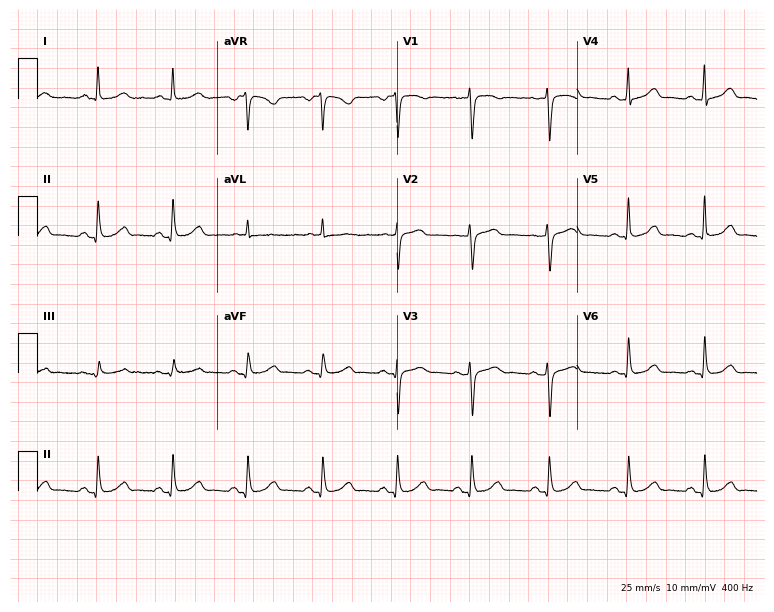
ECG (7.3-second recording at 400 Hz) — a 44-year-old female. Labelled as a normal ECG.